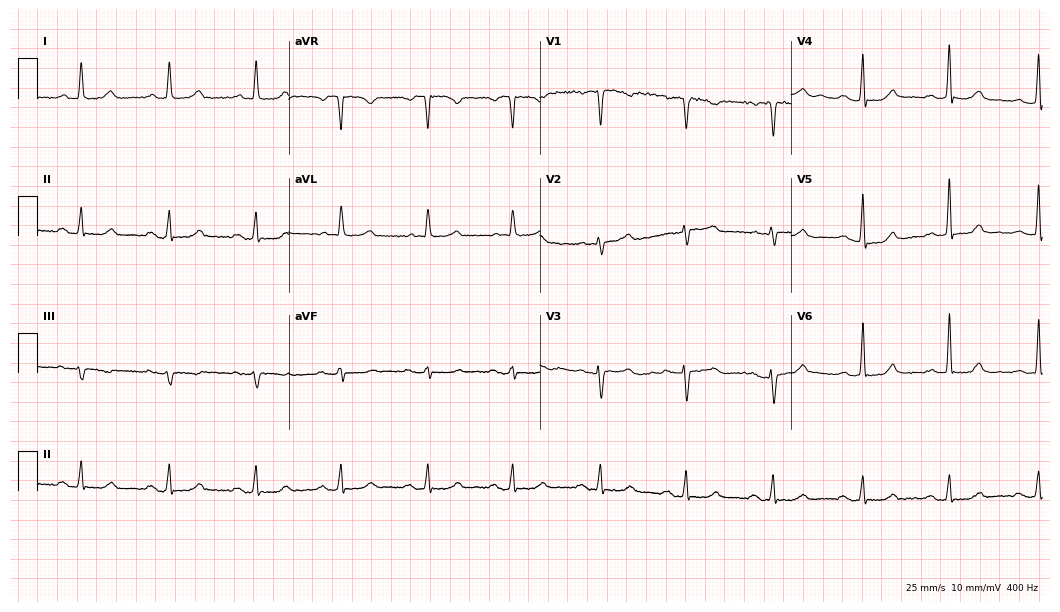
ECG — a 71-year-old woman. Screened for six findings — first-degree AV block, right bundle branch block, left bundle branch block, sinus bradycardia, atrial fibrillation, sinus tachycardia — none is recorded. Other findings, if any, are not listed.